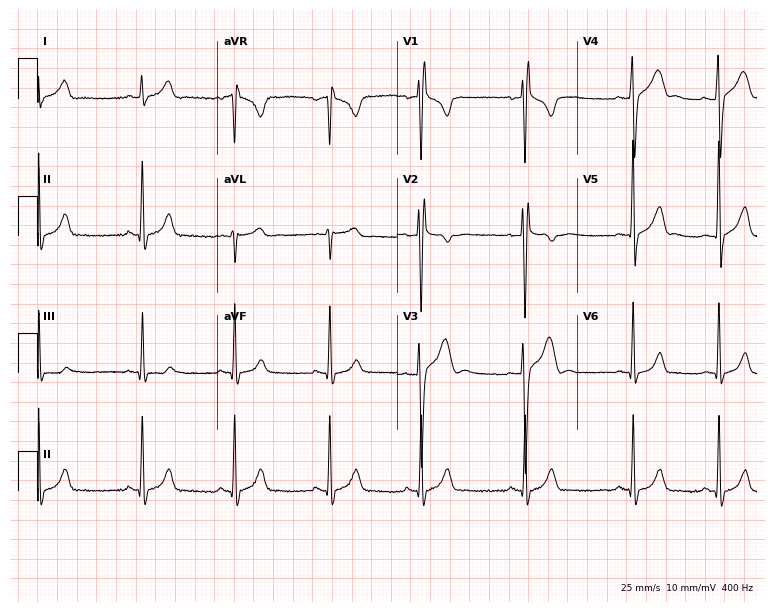
Resting 12-lead electrocardiogram. Patient: a 20-year-old man. None of these six findings is recorded: first-degree AV block, right bundle branch block, left bundle branch block, sinus bradycardia, atrial fibrillation, sinus tachycardia. Other findings, if any, are not listed.